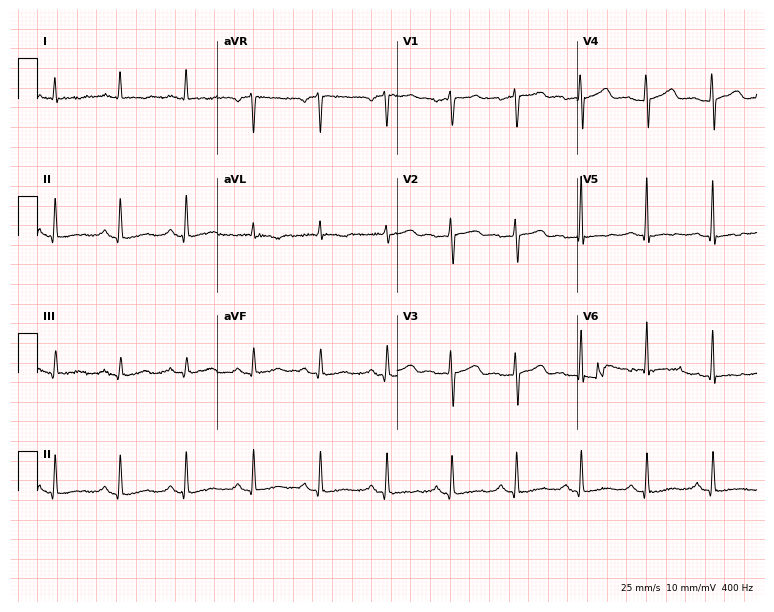
Resting 12-lead electrocardiogram (7.3-second recording at 400 Hz). Patient: a 40-year-old female. Read as a normal ECG.